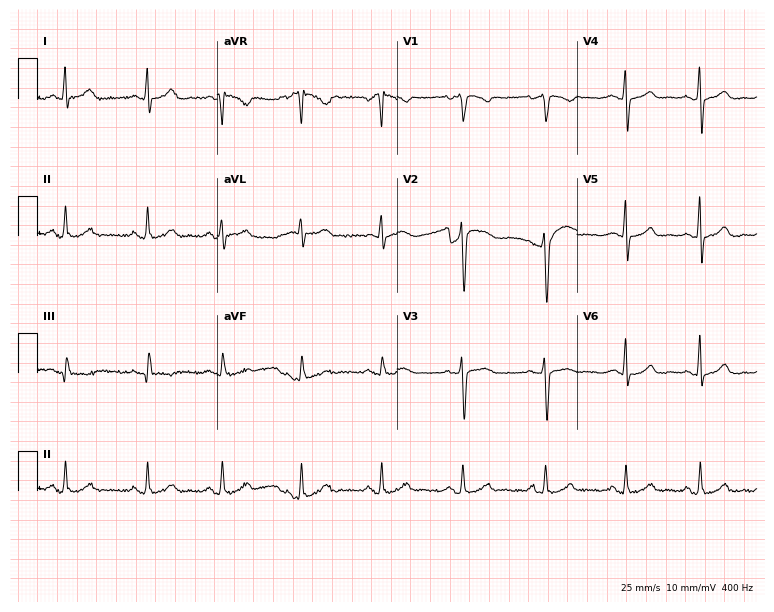
Electrocardiogram, a woman, 28 years old. Overall reading on record: normal ECG.